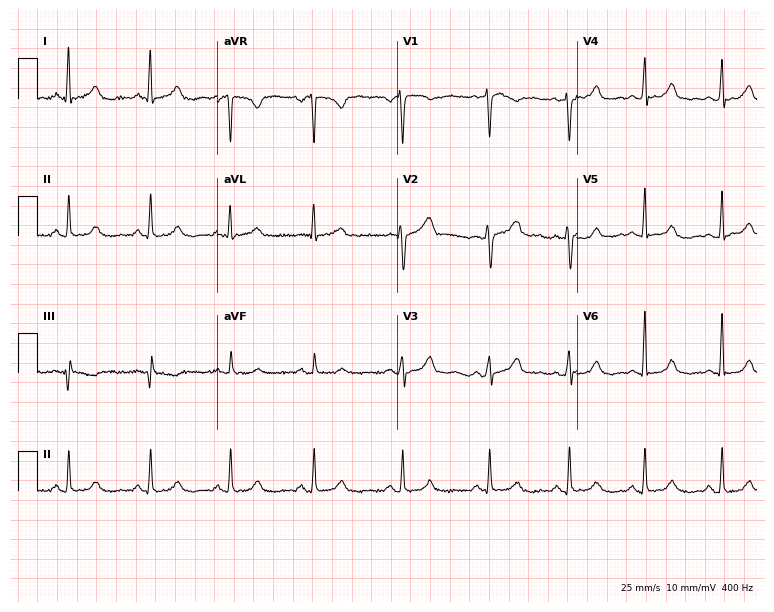
12-lead ECG from a female, 52 years old. Labelled as a normal ECG.